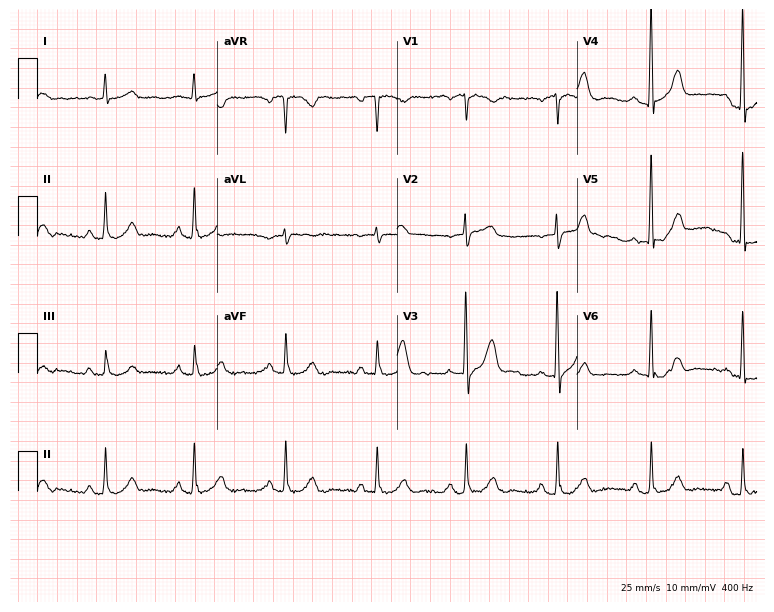
Electrocardiogram, a 72-year-old man. Overall reading on record: normal ECG.